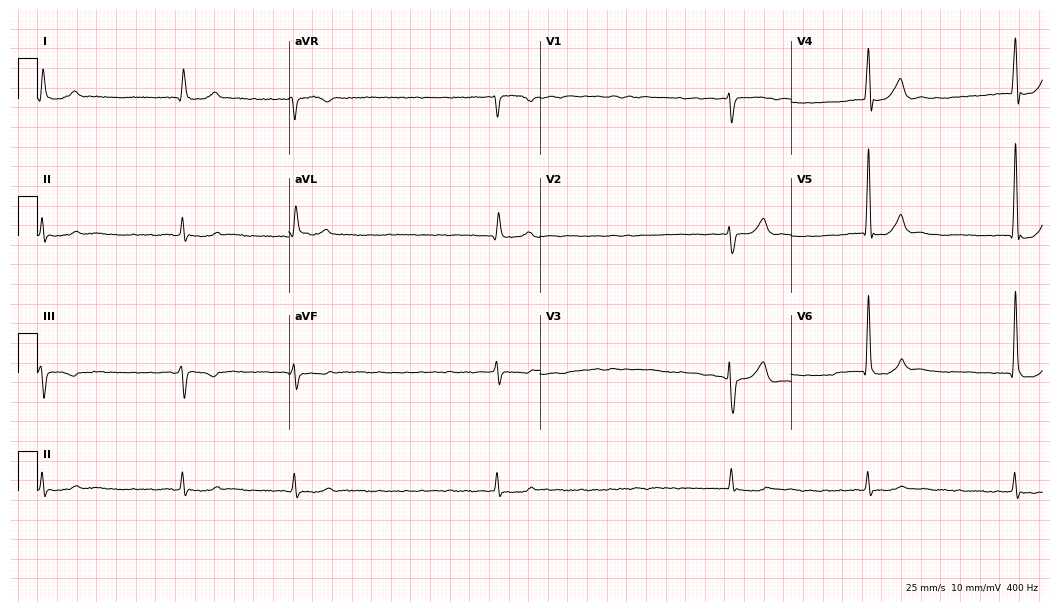
ECG — a male patient, 84 years old. Findings include atrial fibrillation.